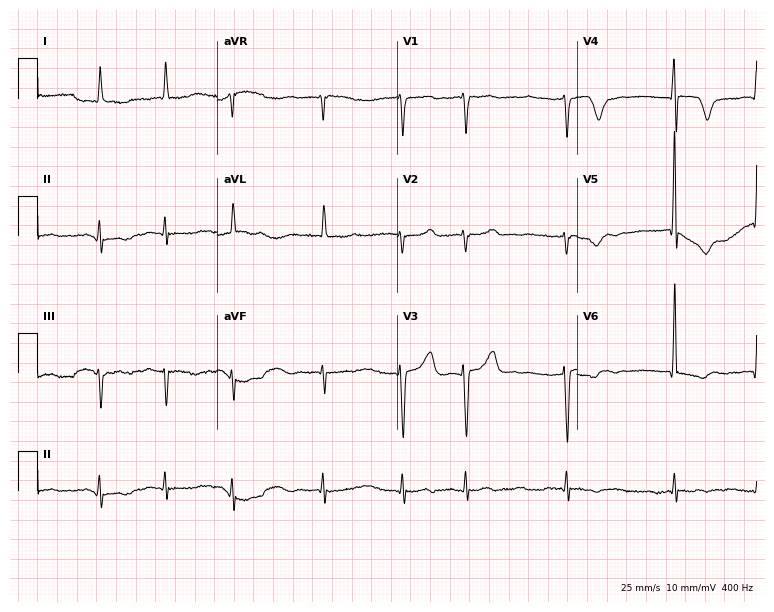
12-lead ECG (7.3-second recording at 400 Hz) from a 70-year-old man. Findings include atrial fibrillation.